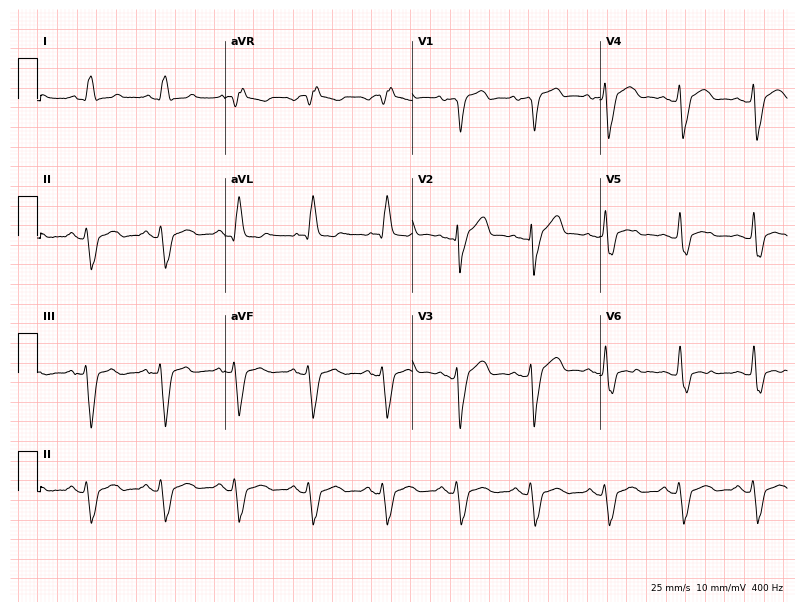
ECG (7.6-second recording at 400 Hz) — a man, 78 years old. Findings include left bundle branch block.